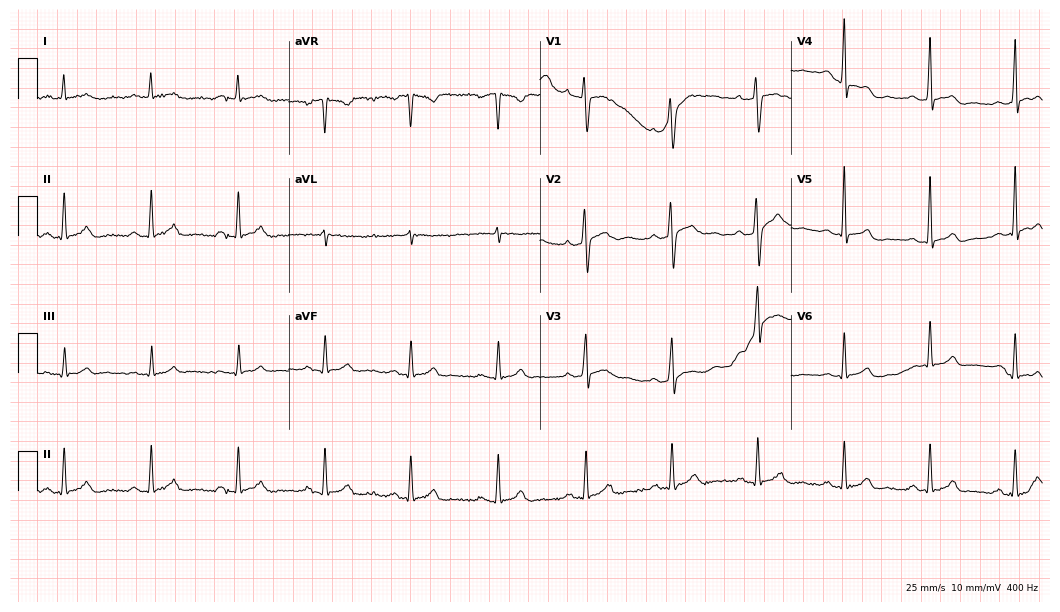
ECG (10.2-second recording at 400 Hz) — a man, 34 years old. Labelled as a normal ECG.